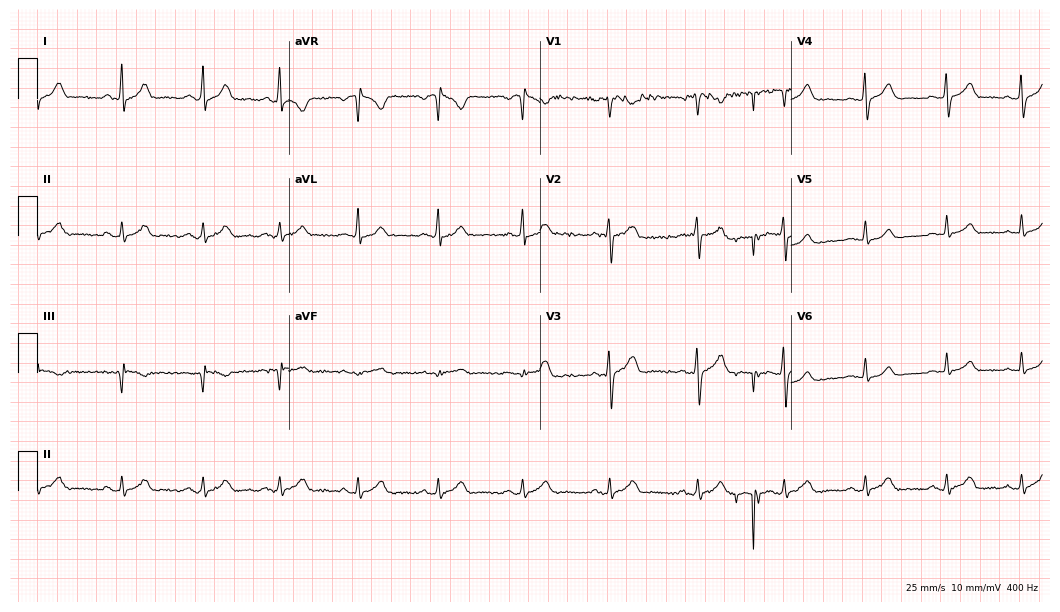
Standard 12-lead ECG recorded from a female, 27 years old (10.2-second recording at 400 Hz). Read as a normal ECG.